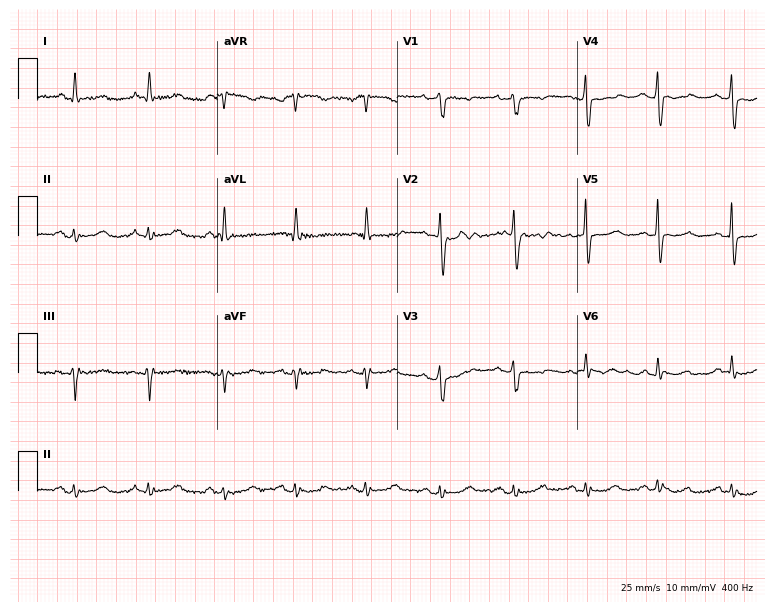
ECG (7.3-second recording at 400 Hz) — a female, 57 years old. Screened for six findings — first-degree AV block, right bundle branch block, left bundle branch block, sinus bradycardia, atrial fibrillation, sinus tachycardia — none is recorded.